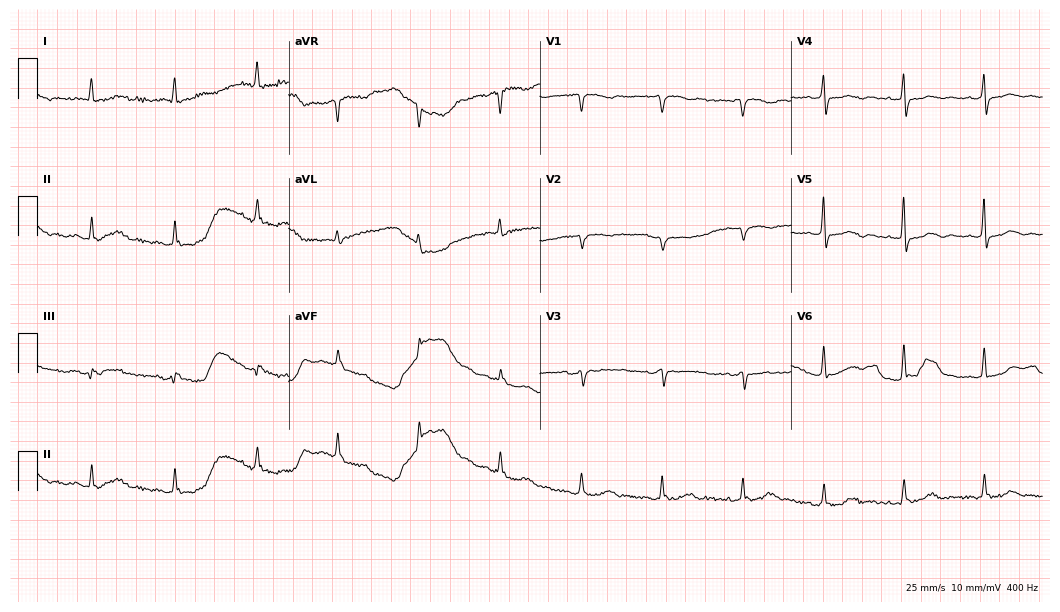
ECG (10.2-second recording at 400 Hz) — a woman, 78 years old. Screened for six findings — first-degree AV block, right bundle branch block (RBBB), left bundle branch block (LBBB), sinus bradycardia, atrial fibrillation (AF), sinus tachycardia — none is recorded. Only these six findings were labelled.